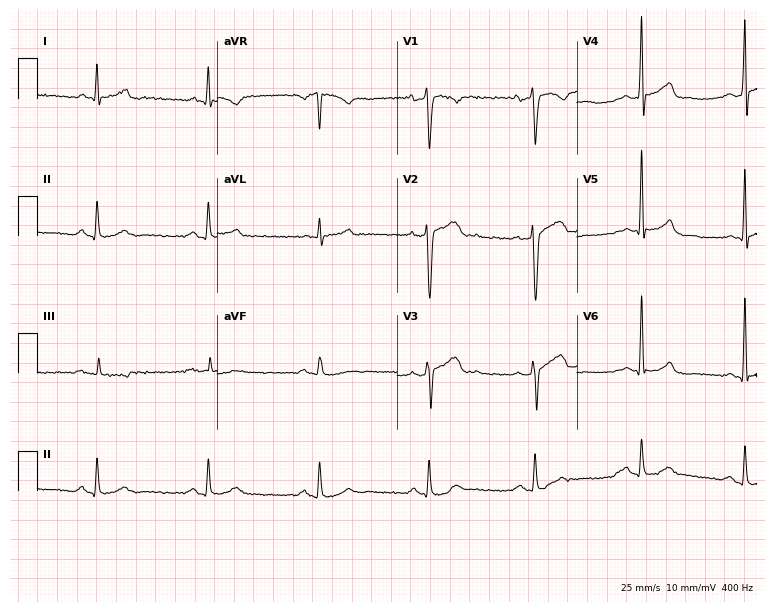
Resting 12-lead electrocardiogram (7.3-second recording at 400 Hz). Patient: a male, 55 years old. None of these six findings is recorded: first-degree AV block, right bundle branch block, left bundle branch block, sinus bradycardia, atrial fibrillation, sinus tachycardia.